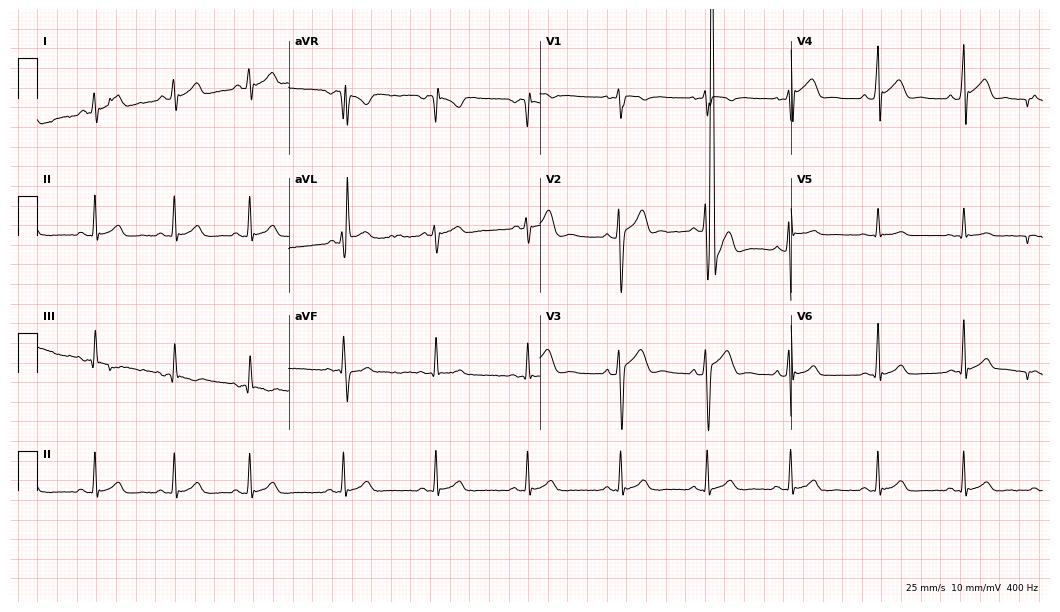
12-lead ECG from a 26-year-old male patient (10.2-second recording at 400 Hz). No first-degree AV block, right bundle branch block (RBBB), left bundle branch block (LBBB), sinus bradycardia, atrial fibrillation (AF) or sinus tachycardia recorded for this tracing. Findings outside these six are not listed.